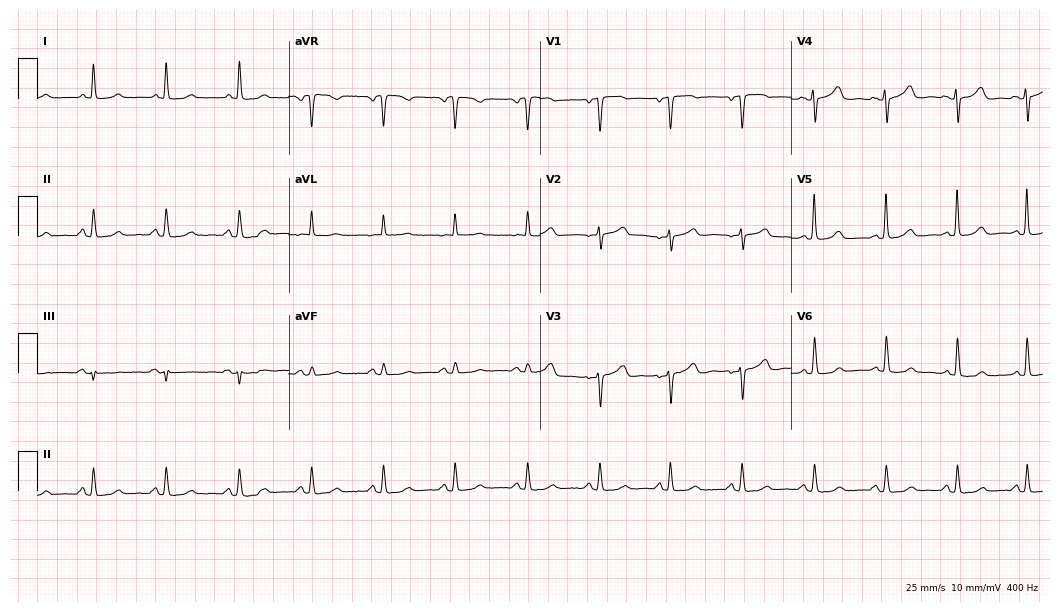
Electrocardiogram (10.2-second recording at 400 Hz), a female patient, 71 years old. Overall reading on record: normal ECG.